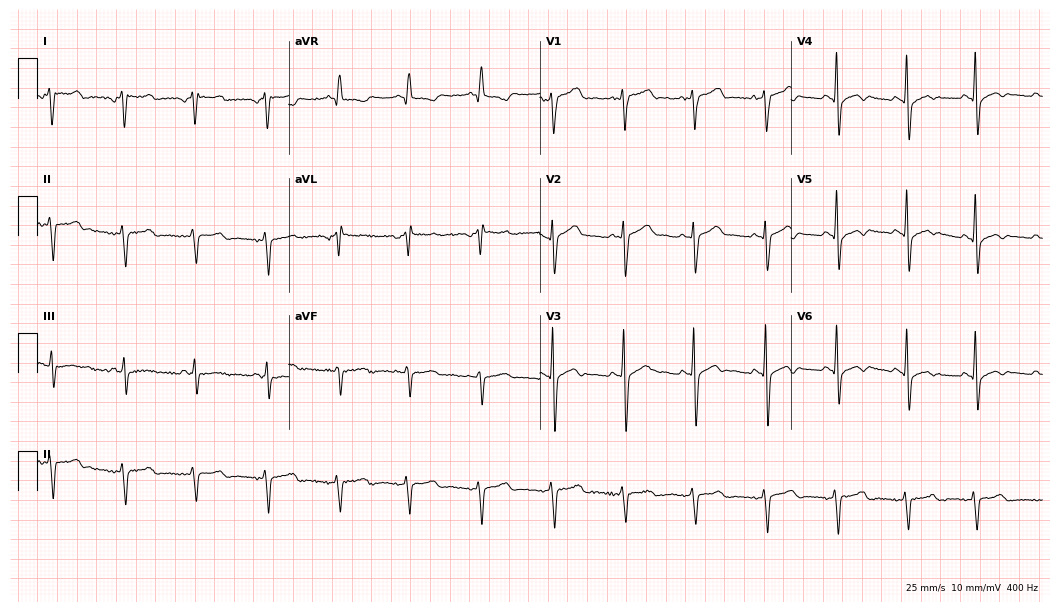
Standard 12-lead ECG recorded from a male patient, 66 years old (10.2-second recording at 400 Hz). None of these six findings is recorded: first-degree AV block, right bundle branch block (RBBB), left bundle branch block (LBBB), sinus bradycardia, atrial fibrillation (AF), sinus tachycardia.